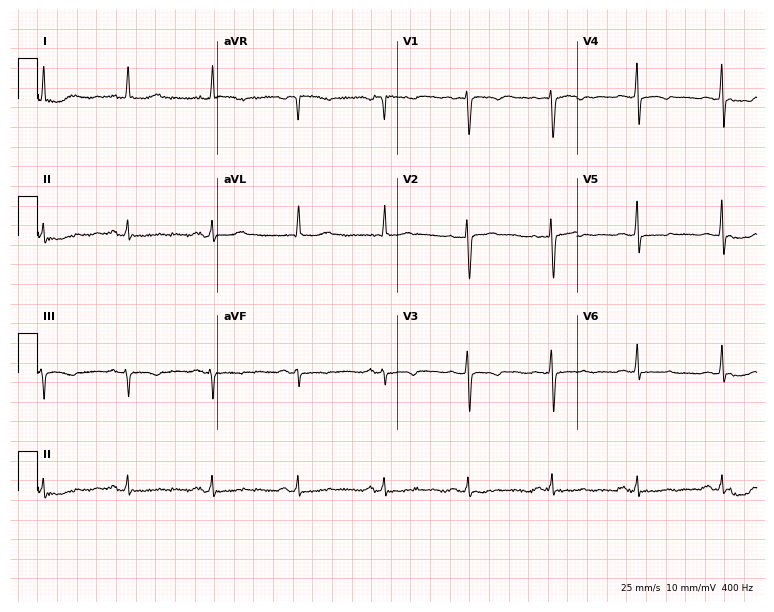
Electrocardiogram (7.3-second recording at 400 Hz), a woman, 43 years old. Of the six screened findings (first-degree AV block, right bundle branch block, left bundle branch block, sinus bradycardia, atrial fibrillation, sinus tachycardia), none is recorded. Only these six findings were labelled.